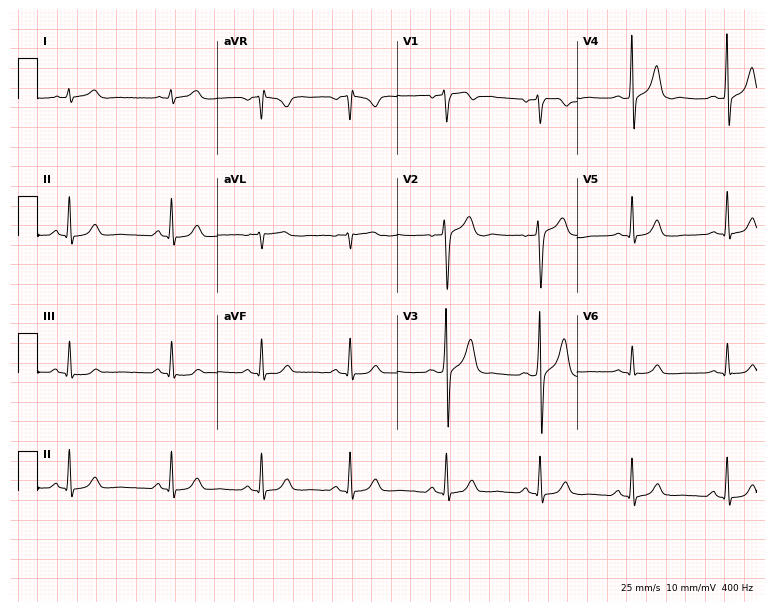
Electrocardiogram, a male, 28 years old. Of the six screened findings (first-degree AV block, right bundle branch block, left bundle branch block, sinus bradycardia, atrial fibrillation, sinus tachycardia), none is recorded.